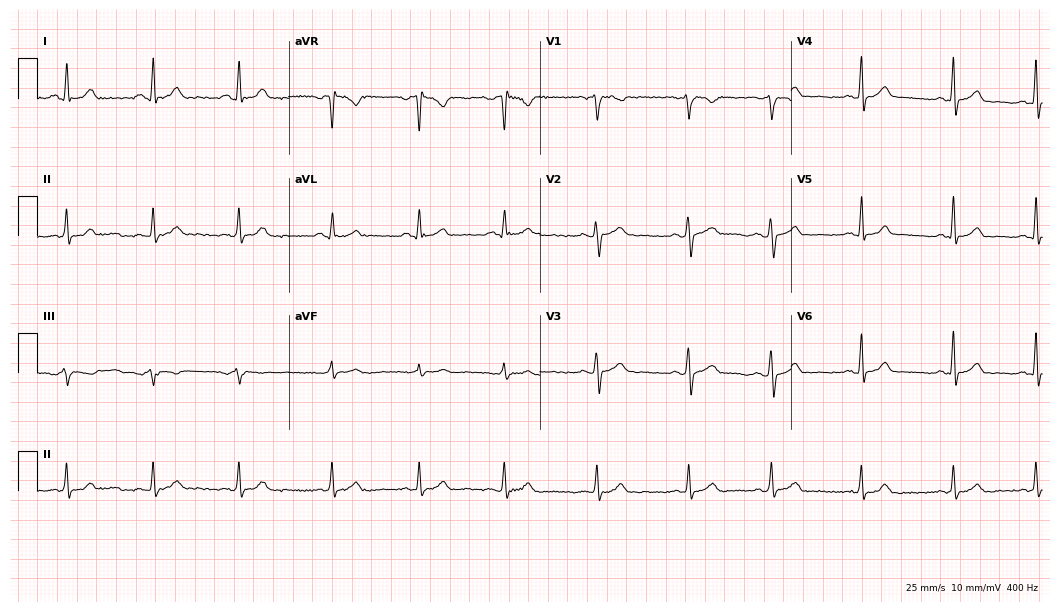
12-lead ECG (10.2-second recording at 400 Hz) from a 32-year-old woman. Screened for six findings — first-degree AV block, right bundle branch block, left bundle branch block, sinus bradycardia, atrial fibrillation, sinus tachycardia — none is recorded. Findings outside these six are not listed.